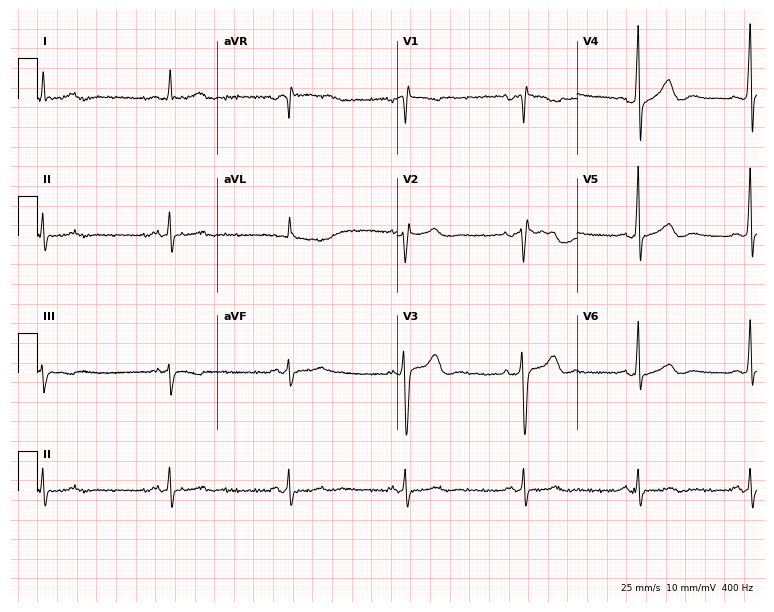
Resting 12-lead electrocardiogram. Patient: a male, 70 years old. None of these six findings is recorded: first-degree AV block, right bundle branch block, left bundle branch block, sinus bradycardia, atrial fibrillation, sinus tachycardia.